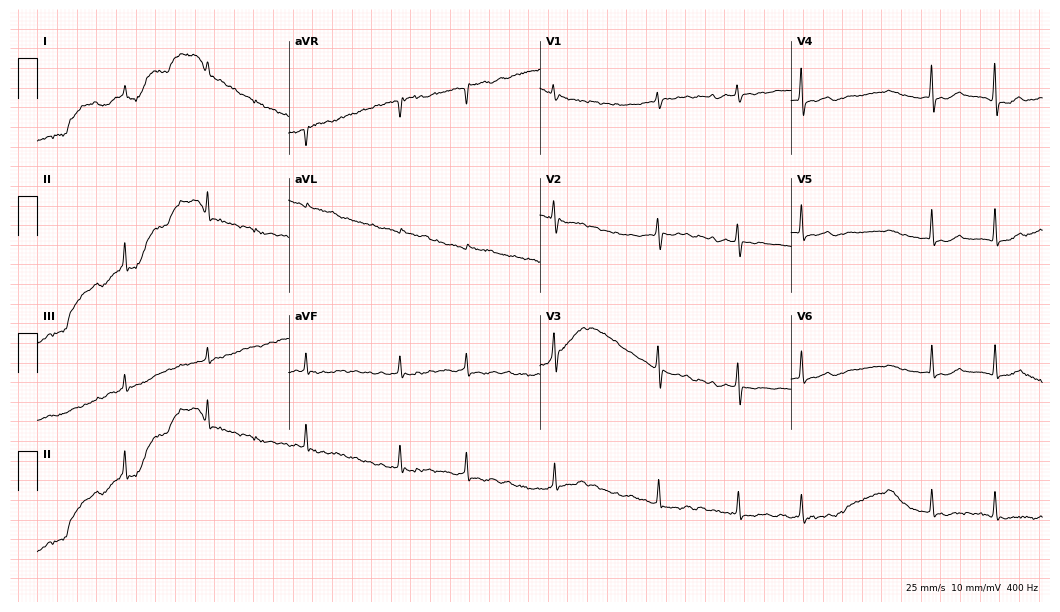
Resting 12-lead electrocardiogram (10.2-second recording at 400 Hz). Patient: a 75-year-old woman. None of these six findings is recorded: first-degree AV block, right bundle branch block, left bundle branch block, sinus bradycardia, atrial fibrillation, sinus tachycardia.